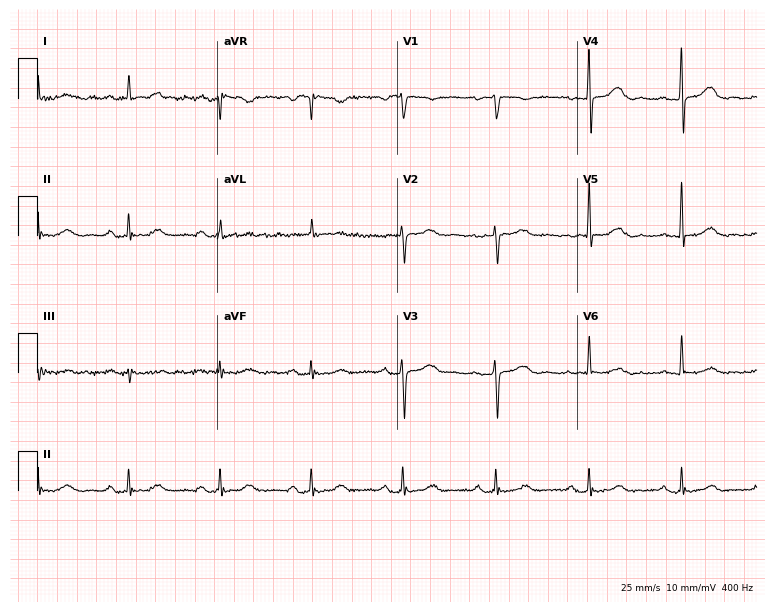
12-lead ECG from an 80-year-old female patient. Recorded interpretation: within normal limits.